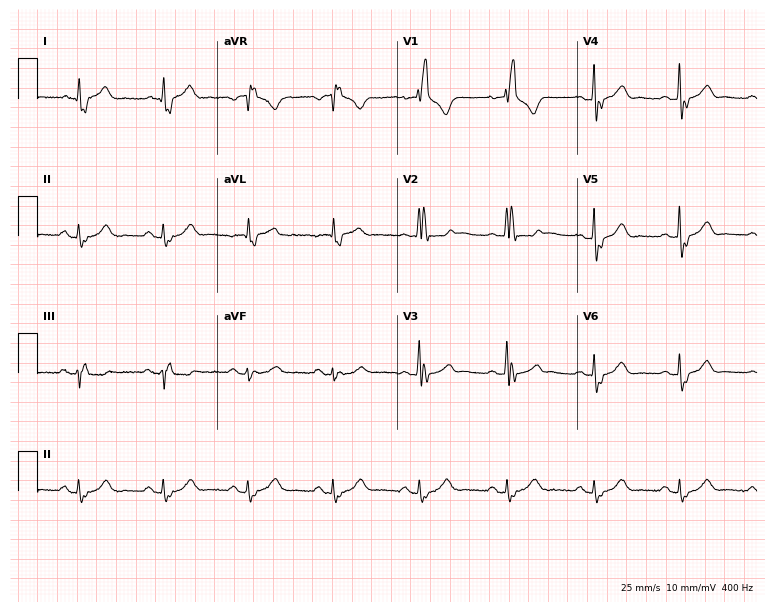
Resting 12-lead electrocardiogram (7.3-second recording at 400 Hz). Patient: a 67-year-old male. The tracing shows right bundle branch block.